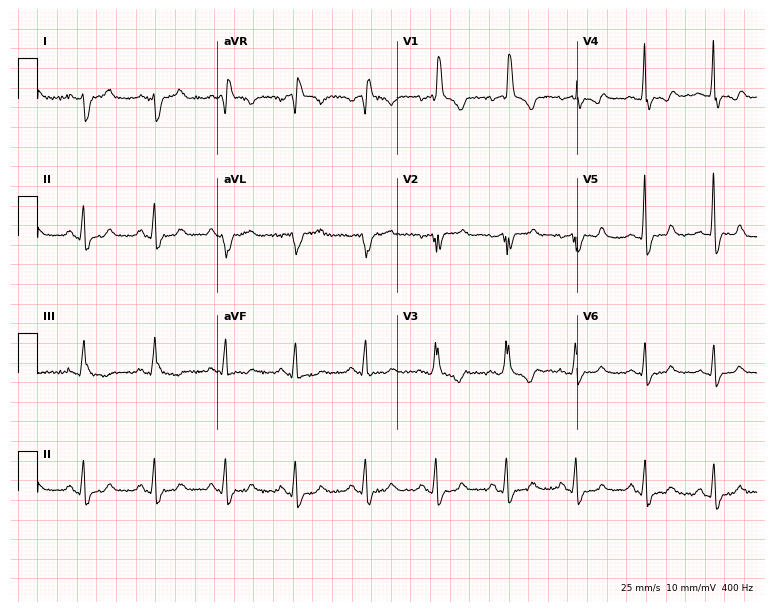
Electrocardiogram, a male, 61 years old. Interpretation includes right bundle branch block.